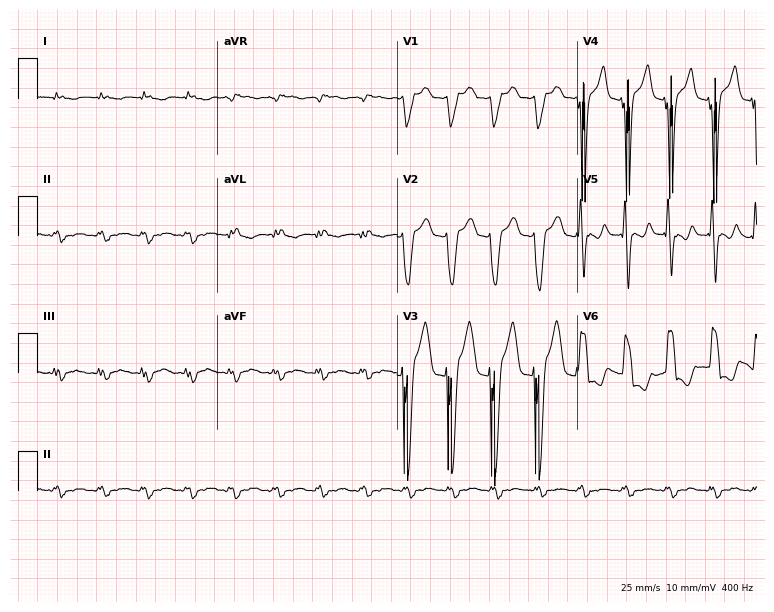
ECG — a male patient, 82 years old. Findings include left bundle branch block.